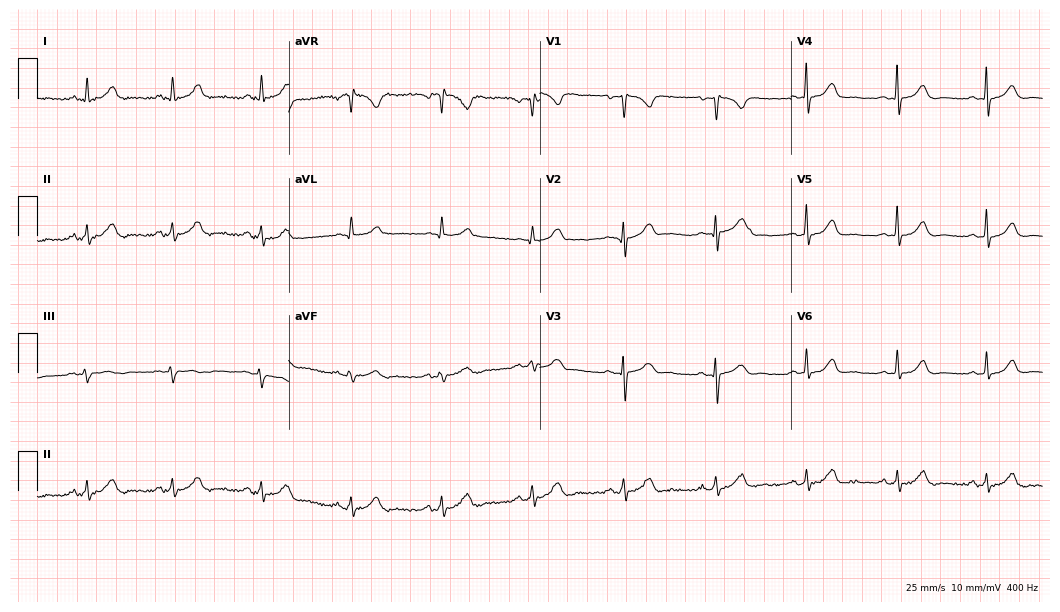
Electrocardiogram (10.2-second recording at 400 Hz), a female patient, 49 years old. Overall reading on record: normal ECG.